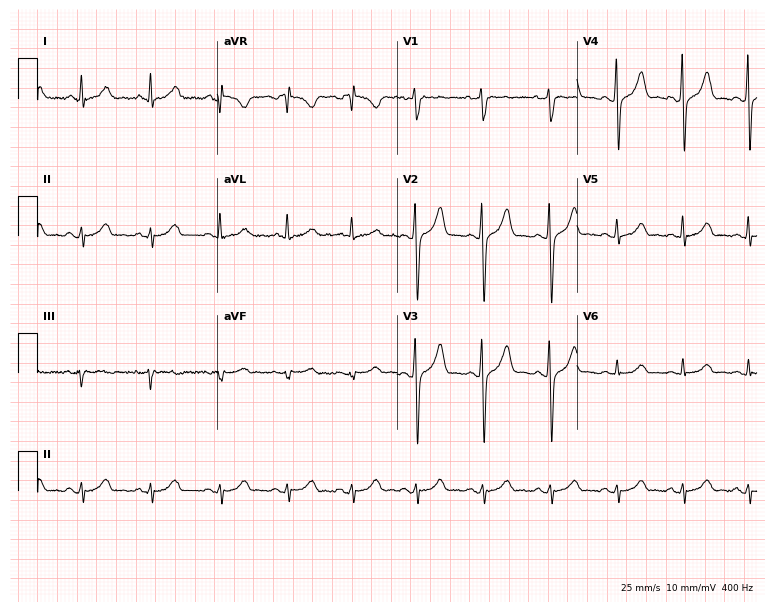
12-lead ECG from a male patient, 43 years old. Screened for six findings — first-degree AV block, right bundle branch block, left bundle branch block, sinus bradycardia, atrial fibrillation, sinus tachycardia — none is recorded. Findings outside these six are not listed.